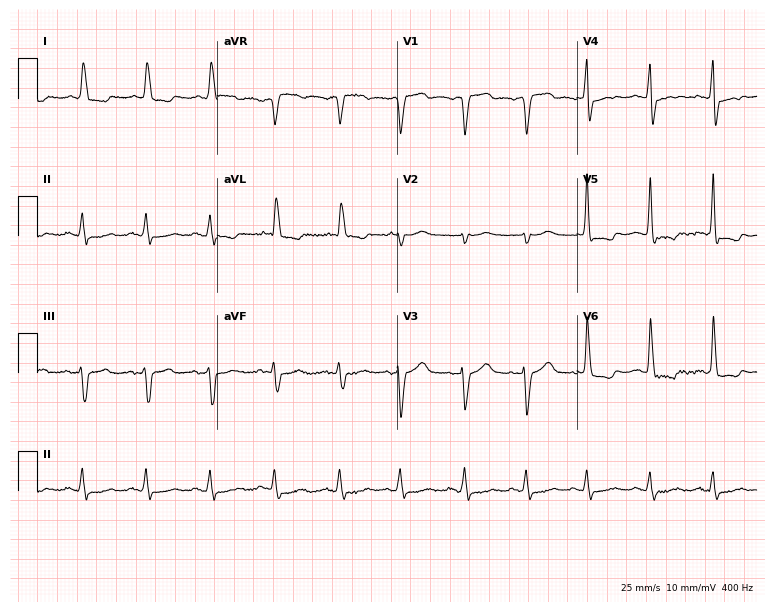
12-lead ECG from a 75-year-old male. Screened for six findings — first-degree AV block, right bundle branch block, left bundle branch block, sinus bradycardia, atrial fibrillation, sinus tachycardia — none is recorded.